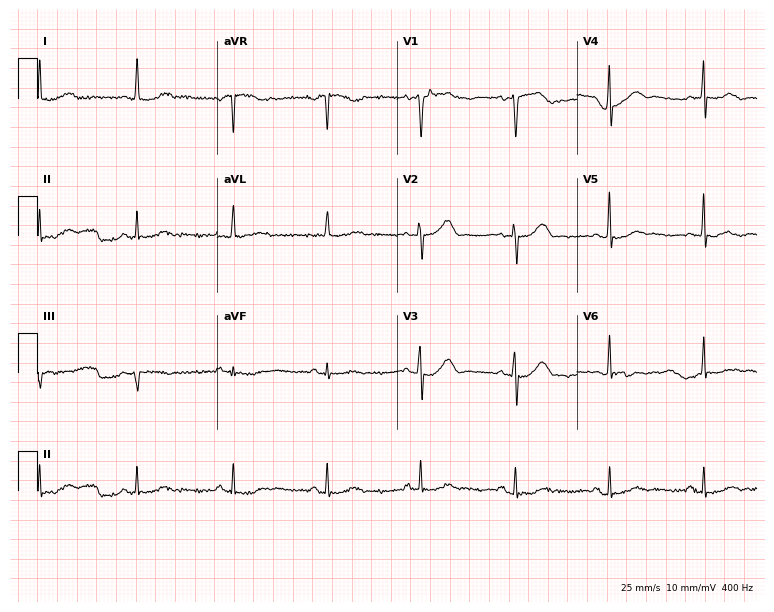
Resting 12-lead electrocardiogram. Patient: a man, 83 years old. Read as a normal ECG.